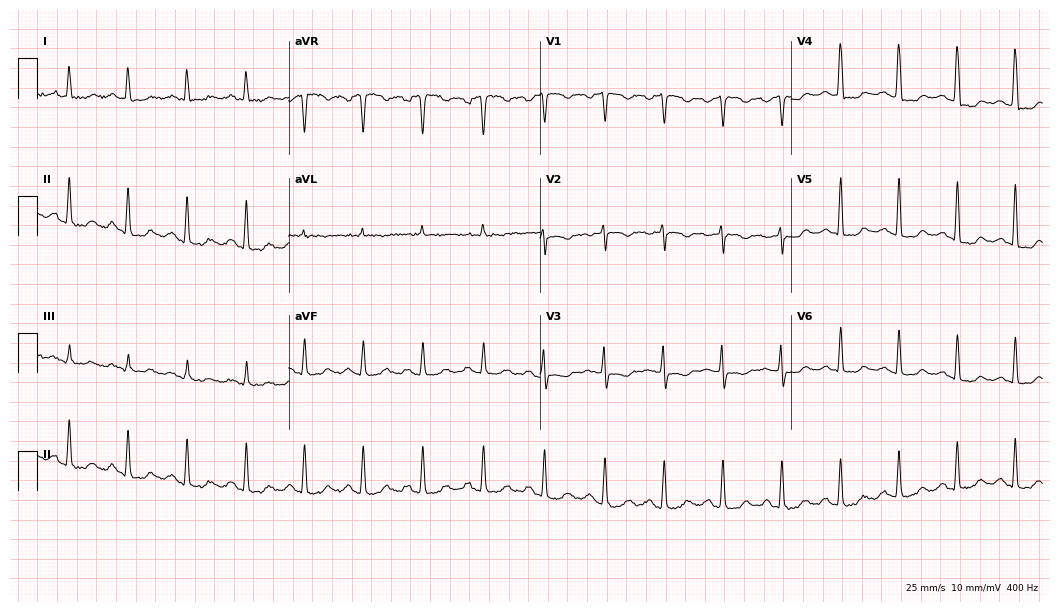
12-lead ECG (10.2-second recording at 400 Hz) from a 49-year-old female patient. Screened for six findings — first-degree AV block, right bundle branch block, left bundle branch block, sinus bradycardia, atrial fibrillation, sinus tachycardia — none is recorded.